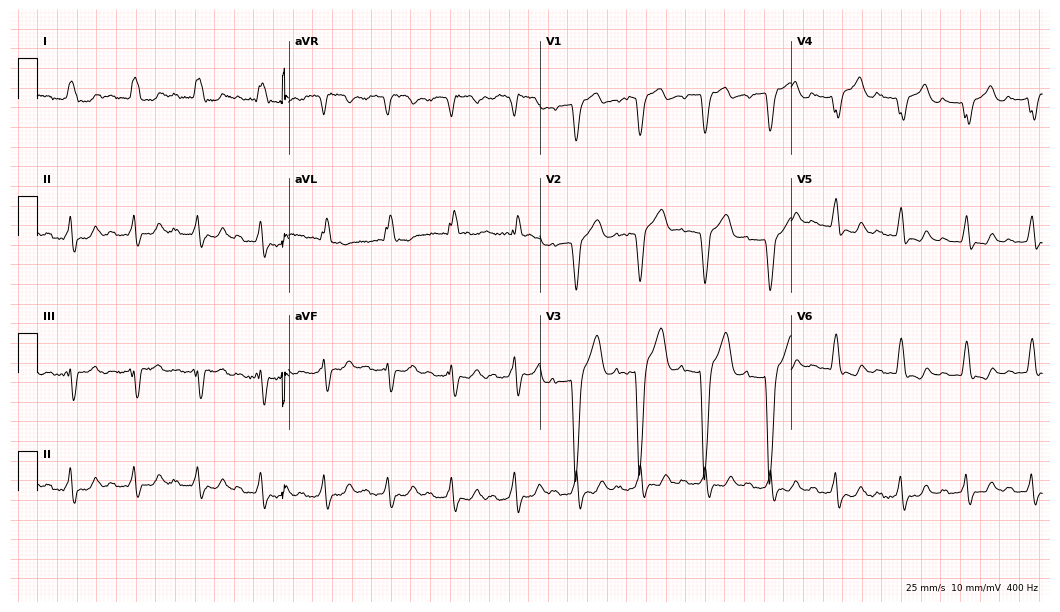
Standard 12-lead ECG recorded from a 54-year-old female patient (10.2-second recording at 400 Hz). The tracing shows first-degree AV block, left bundle branch block (LBBB).